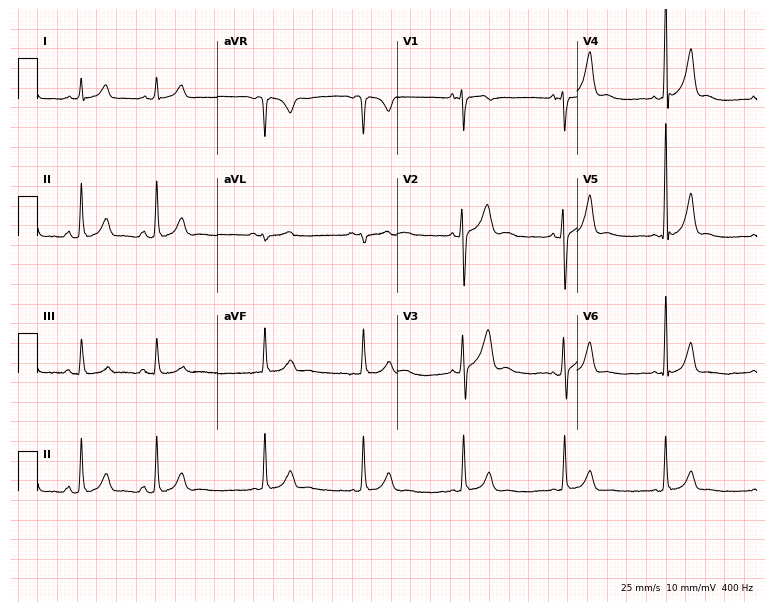
Electrocardiogram, a male, 17 years old. Overall reading on record: normal ECG.